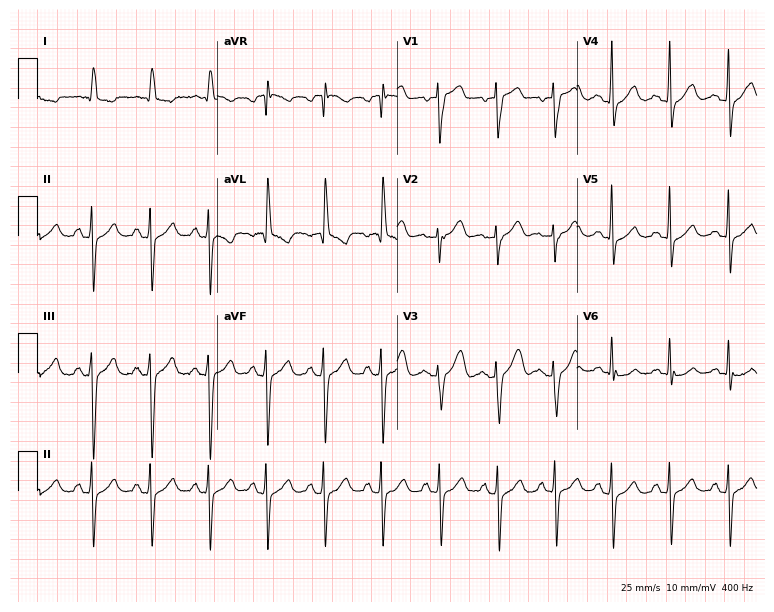
Resting 12-lead electrocardiogram (7.3-second recording at 400 Hz). Patient: a woman, 78 years old. The tracing shows sinus tachycardia (a sinus rate of 100 beats per minute or more).